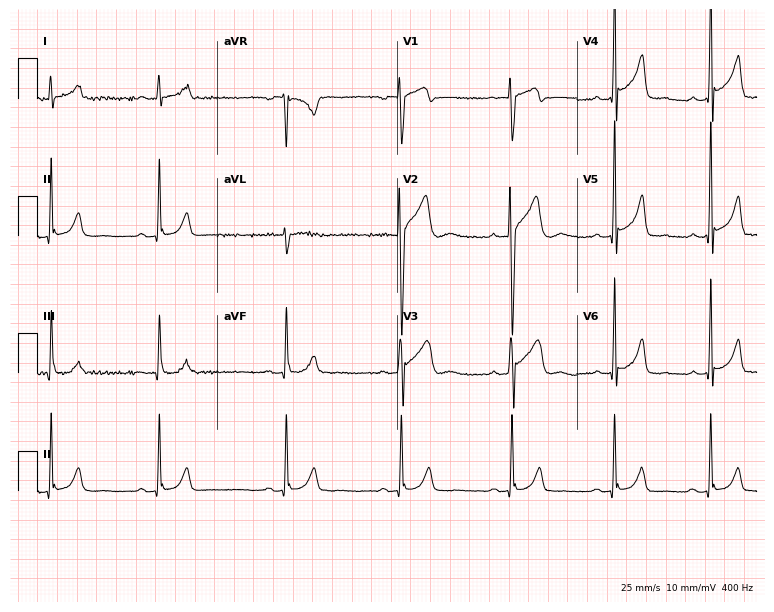
Electrocardiogram, a male, 22 years old. Overall reading on record: normal ECG.